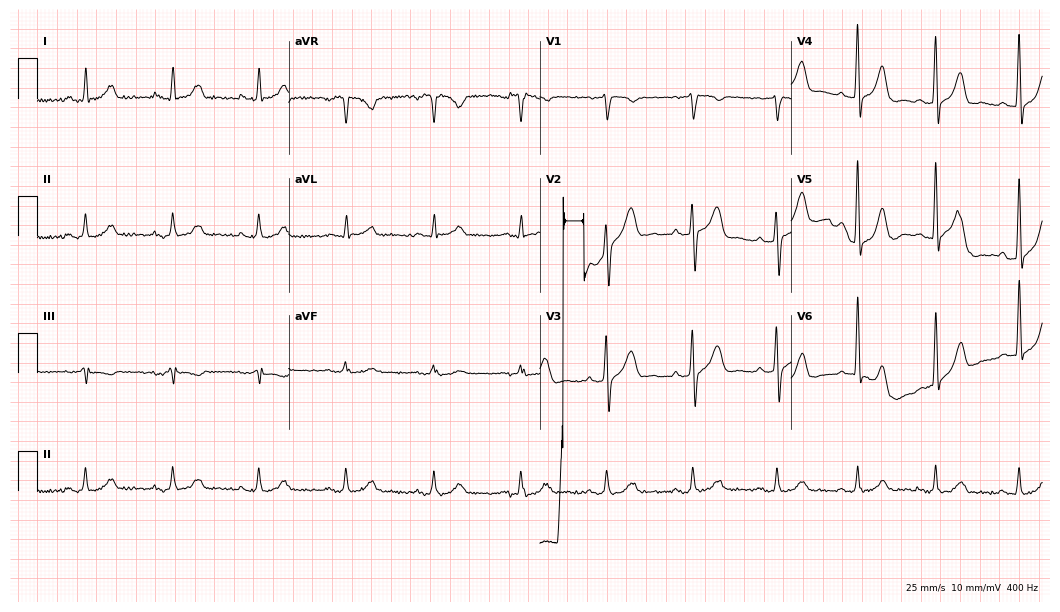
12-lead ECG from a male patient, 53 years old (10.2-second recording at 400 Hz). No first-degree AV block, right bundle branch block, left bundle branch block, sinus bradycardia, atrial fibrillation or sinus tachycardia recorded for this tracing.